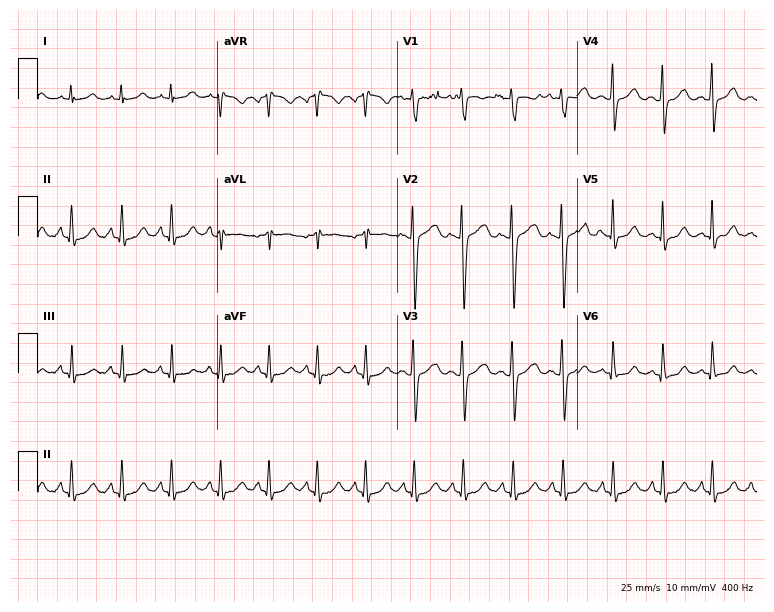
ECG — a 20-year-old female. Findings include sinus tachycardia (a sinus rate of 100 beats per minute or more).